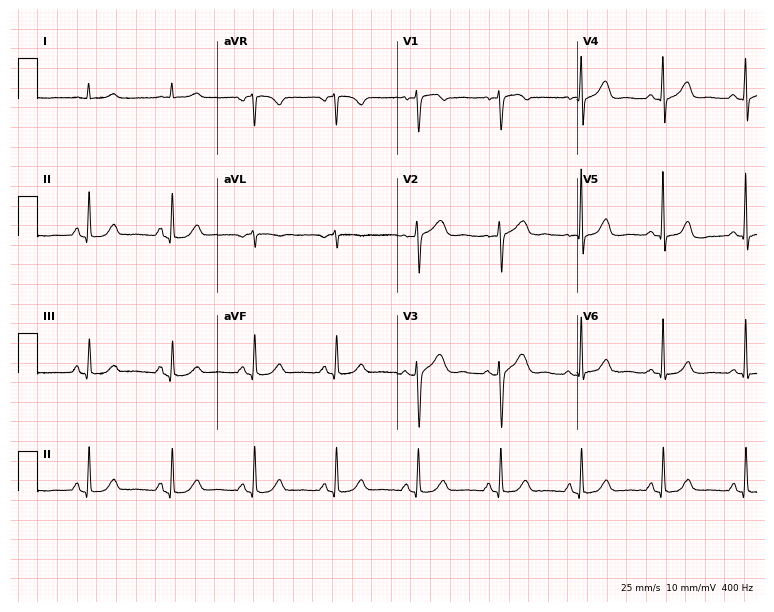
ECG (7.3-second recording at 400 Hz) — a female patient, 64 years old. Screened for six findings — first-degree AV block, right bundle branch block, left bundle branch block, sinus bradycardia, atrial fibrillation, sinus tachycardia — none is recorded. Only these six findings were labelled.